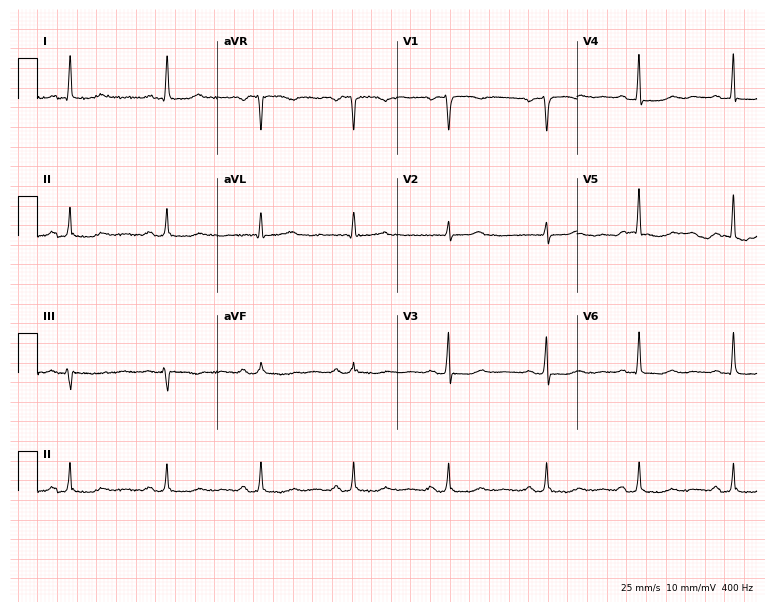
Standard 12-lead ECG recorded from a 58-year-old woman. None of these six findings is recorded: first-degree AV block, right bundle branch block, left bundle branch block, sinus bradycardia, atrial fibrillation, sinus tachycardia. Only these six findings were labelled.